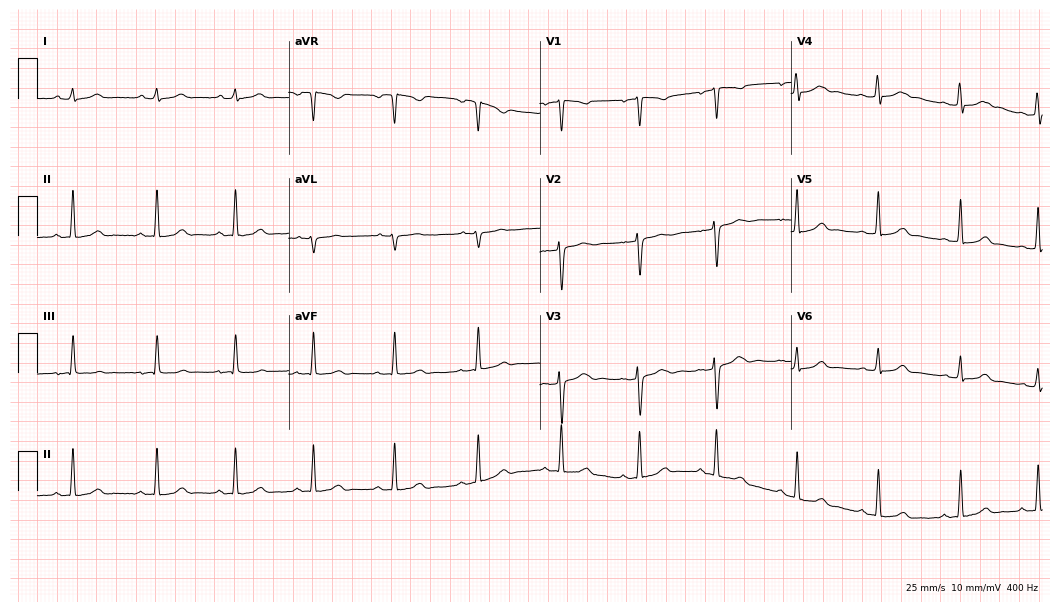
ECG (10.2-second recording at 400 Hz) — a female patient, 40 years old. Labelled as a normal ECG.